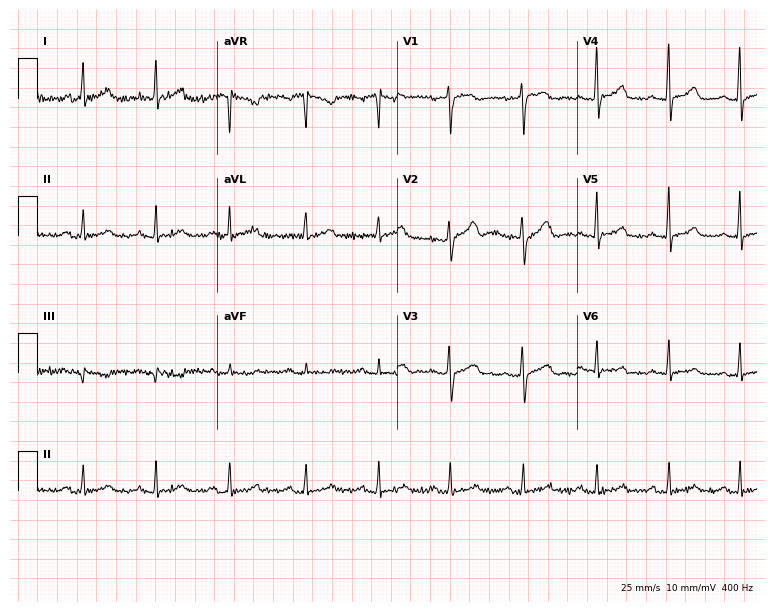
Resting 12-lead electrocardiogram (7.3-second recording at 400 Hz). Patient: a 43-year-old female. None of these six findings is recorded: first-degree AV block, right bundle branch block, left bundle branch block, sinus bradycardia, atrial fibrillation, sinus tachycardia.